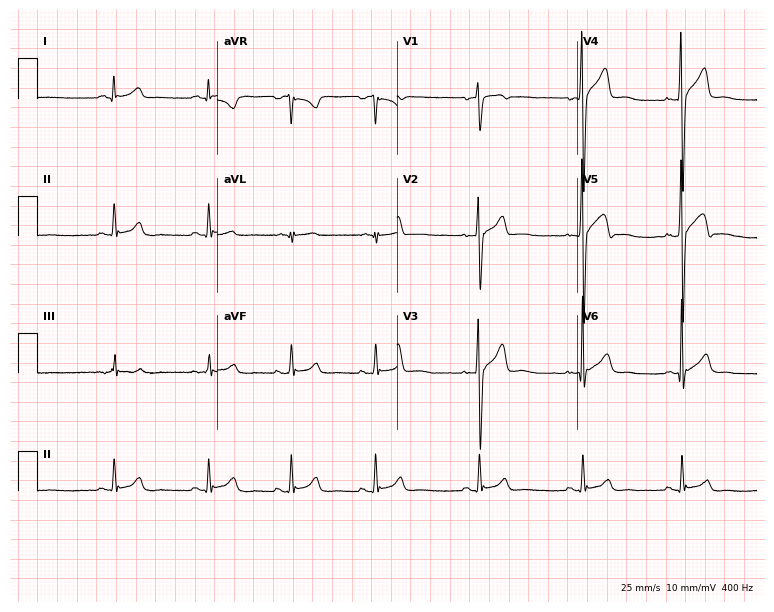
ECG — a man, 22 years old. Screened for six findings — first-degree AV block, right bundle branch block, left bundle branch block, sinus bradycardia, atrial fibrillation, sinus tachycardia — none is recorded. Other findings, if any, are not listed.